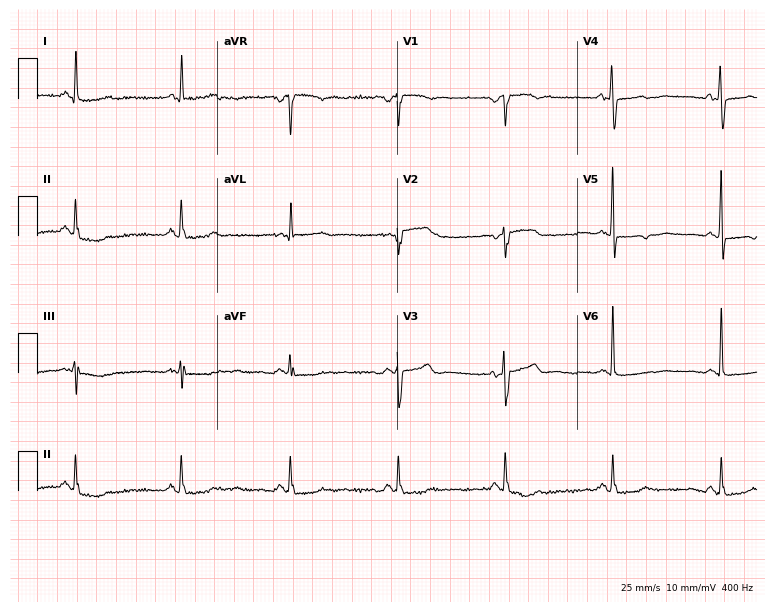
Electrocardiogram (7.3-second recording at 400 Hz), a woman, 78 years old. Of the six screened findings (first-degree AV block, right bundle branch block (RBBB), left bundle branch block (LBBB), sinus bradycardia, atrial fibrillation (AF), sinus tachycardia), none is recorded. Other findings, if any, are not listed.